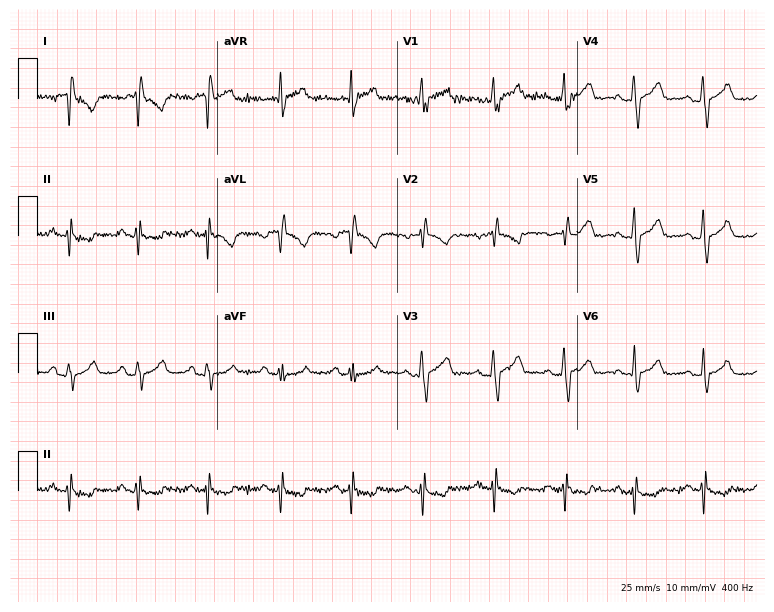
ECG (7.3-second recording at 400 Hz) — a female, 43 years old. Screened for six findings — first-degree AV block, right bundle branch block, left bundle branch block, sinus bradycardia, atrial fibrillation, sinus tachycardia — none is recorded.